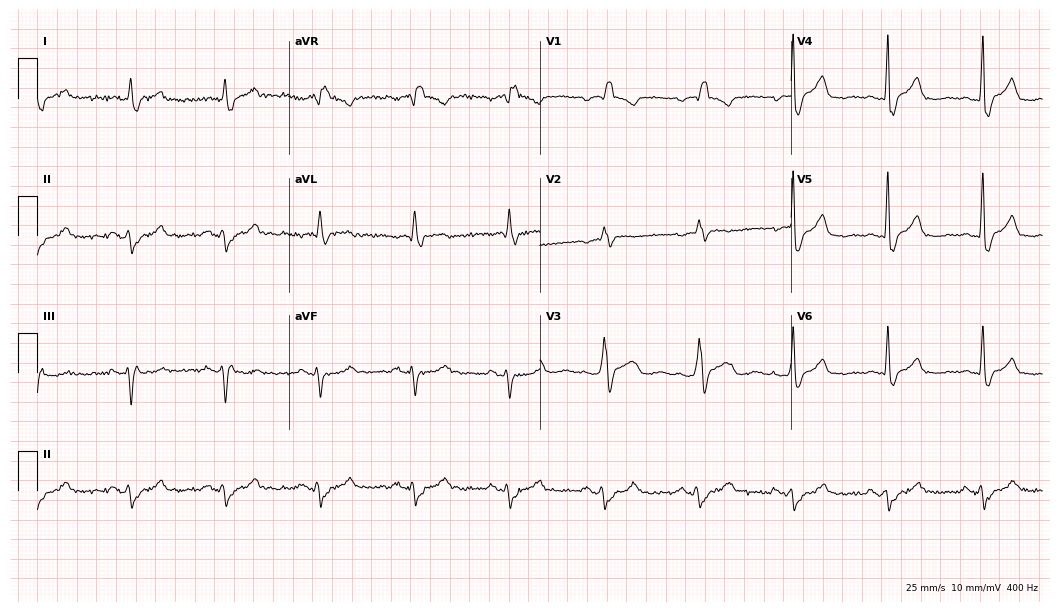
Resting 12-lead electrocardiogram (10.2-second recording at 400 Hz). Patient: a male, 77 years old. None of these six findings is recorded: first-degree AV block, right bundle branch block (RBBB), left bundle branch block (LBBB), sinus bradycardia, atrial fibrillation (AF), sinus tachycardia.